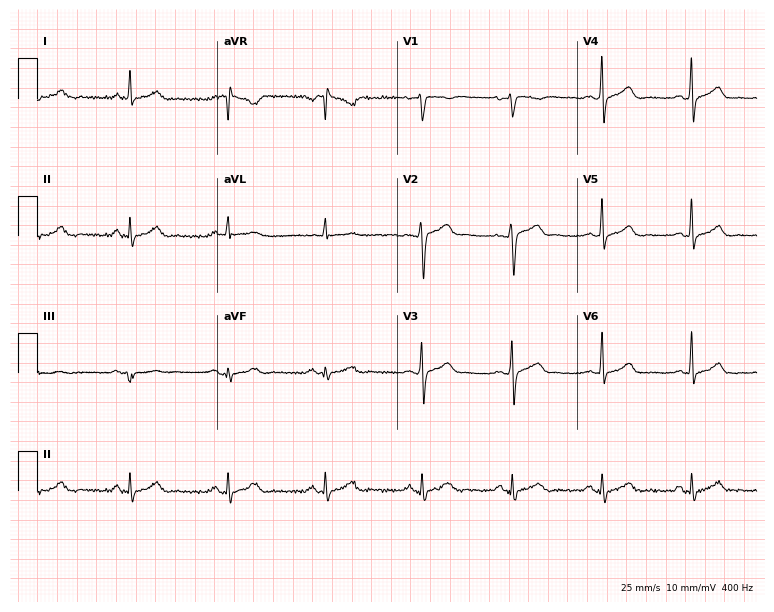
ECG — a male, 35 years old. Labelled as a normal ECG.